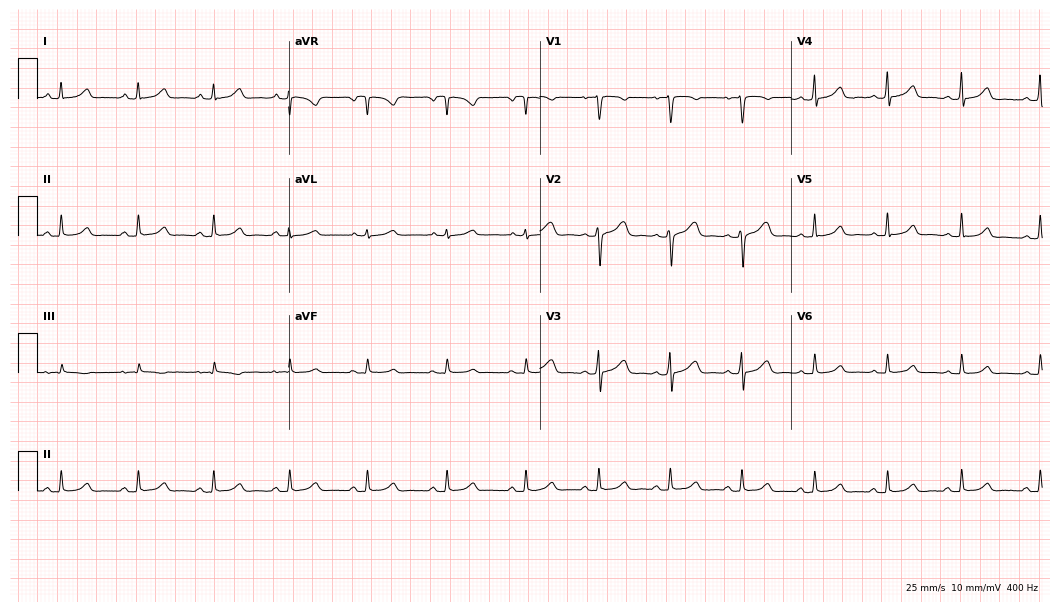
ECG — a female patient, 21 years old. Labelled as a normal ECG.